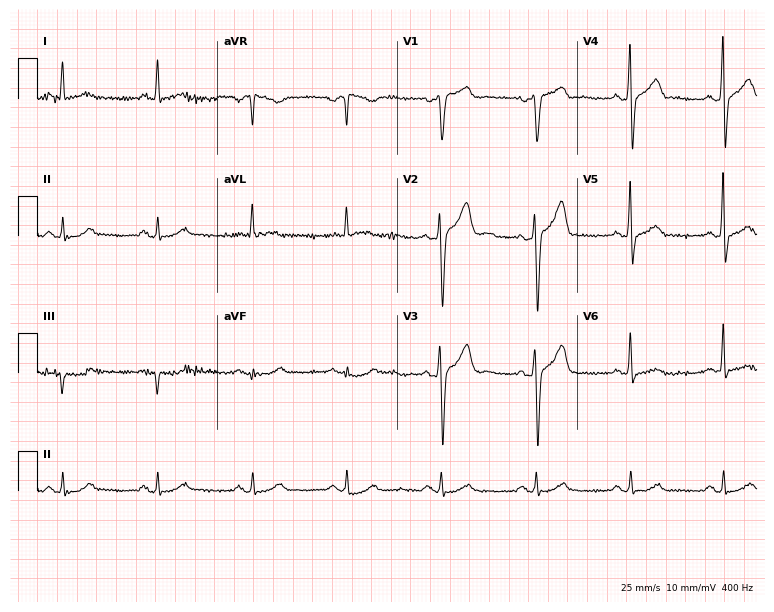
ECG — a male patient, 32 years old. Screened for six findings — first-degree AV block, right bundle branch block, left bundle branch block, sinus bradycardia, atrial fibrillation, sinus tachycardia — none is recorded.